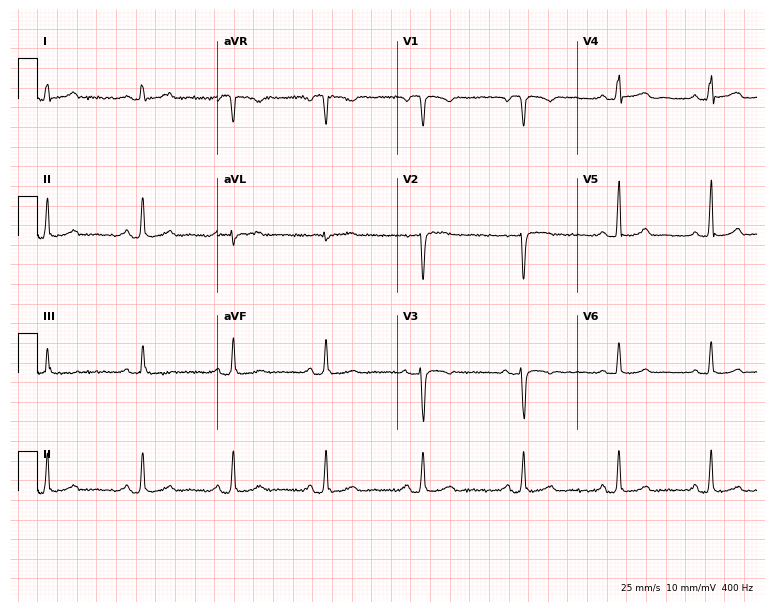
12-lead ECG from a female, 39 years old (7.3-second recording at 400 Hz). Recorded interpretation: within normal limits.